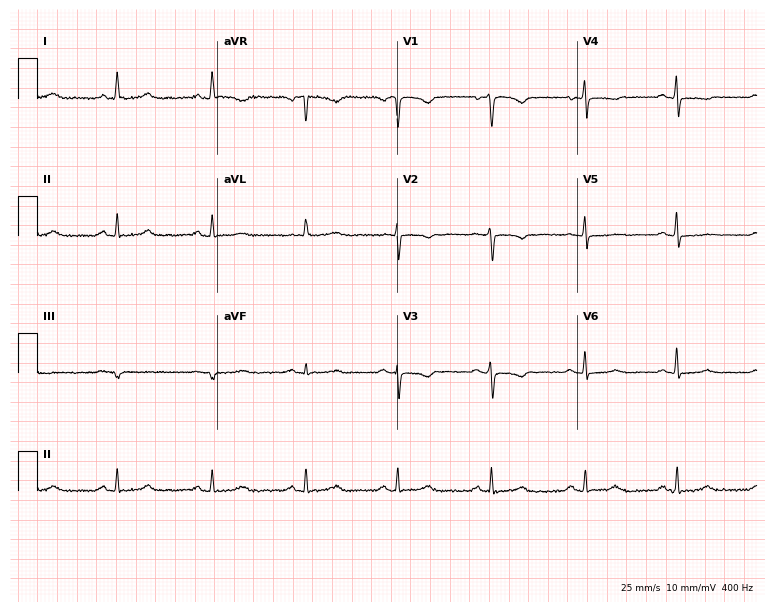
Resting 12-lead electrocardiogram (7.3-second recording at 400 Hz). Patient: a female, 63 years old. None of these six findings is recorded: first-degree AV block, right bundle branch block, left bundle branch block, sinus bradycardia, atrial fibrillation, sinus tachycardia.